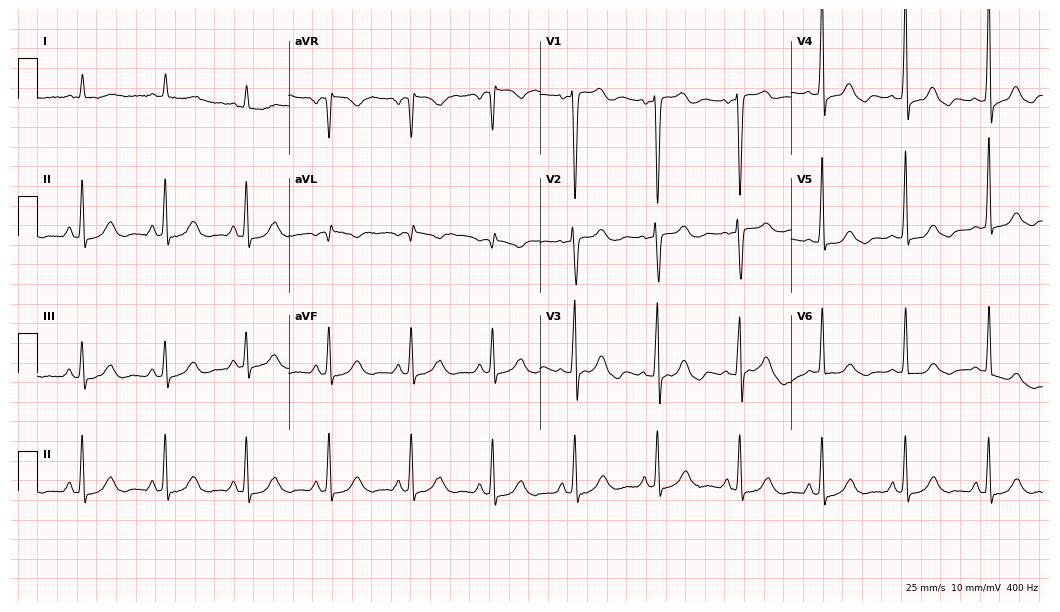
12-lead ECG from an 83-year-old female (10.2-second recording at 400 Hz). No first-degree AV block, right bundle branch block, left bundle branch block, sinus bradycardia, atrial fibrillation or sinus tachycardia recorded for this tracing.